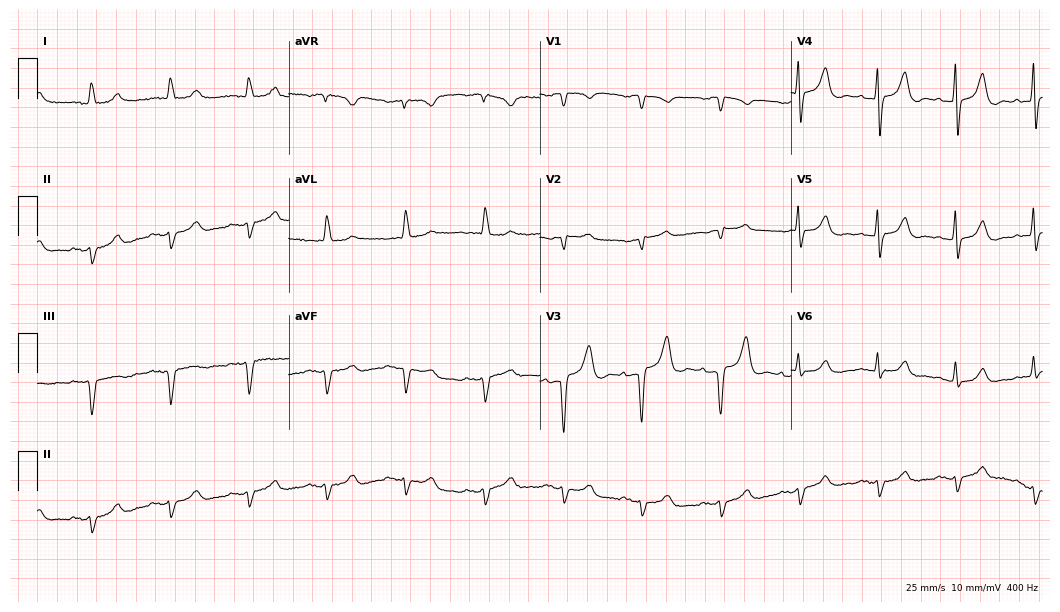
Standard 12-lead ECG recorded from a 78-year-old female patient. None of these six findings is recorded: first-degree AV block, right bundle branch block, left bundle branch block, sinus bradycardia, atrial fibrillation, sinus tachycardia.